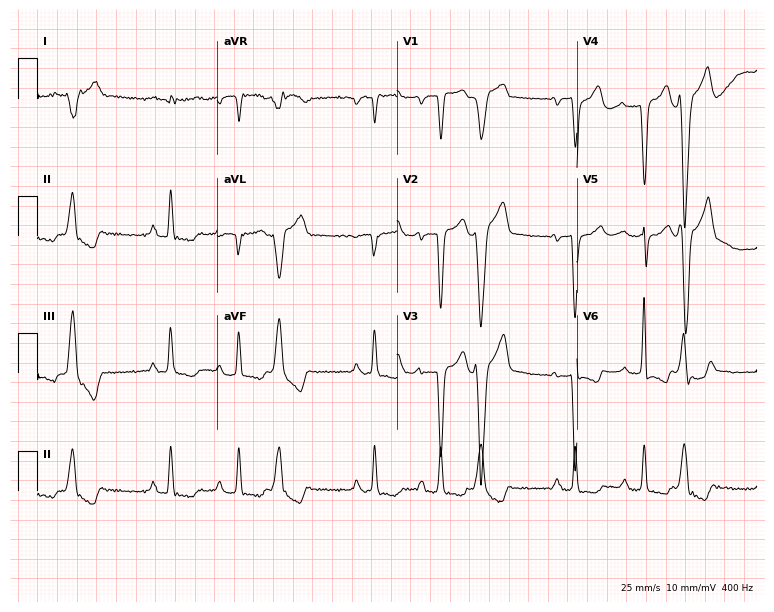
Standard 12-lead ECG recorded from a 67-year-old woman (7.3-second recording at 400 Hz). None of these six findings is recorded: first-degree AV block, right bundle branch block, left bundle branch block, sinus bradycardia, atrial fibrillation, sinus tachycardia. Findings outside these six are not listed.